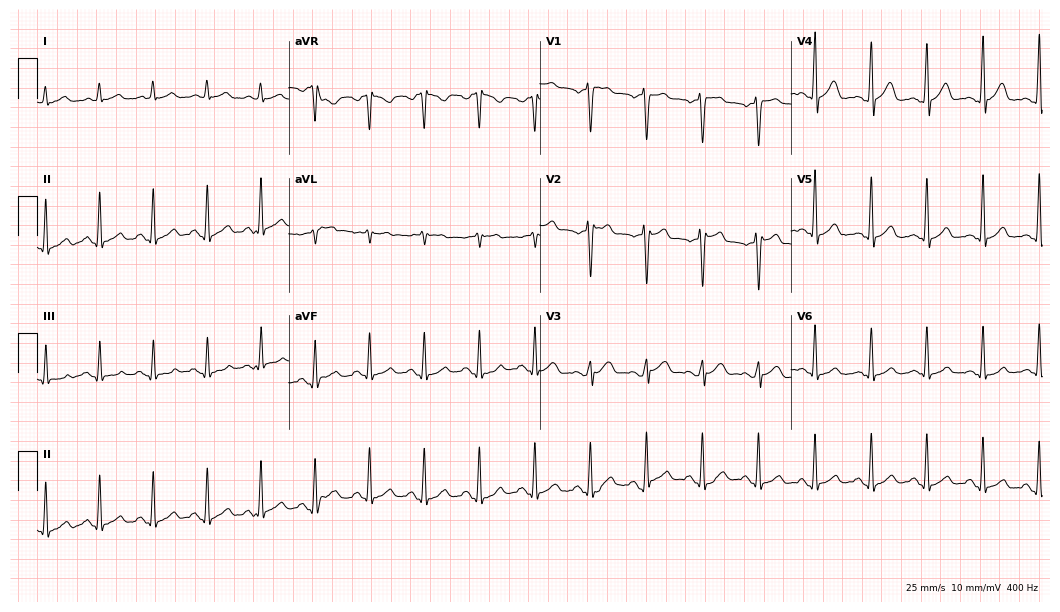
Standard 12-lead ECG recorded from a man, 44 years old (10.2-second recording at 400 Hz). The tracing shows sinus tachycardia (a sinus rate of 100 beats per minute or more).